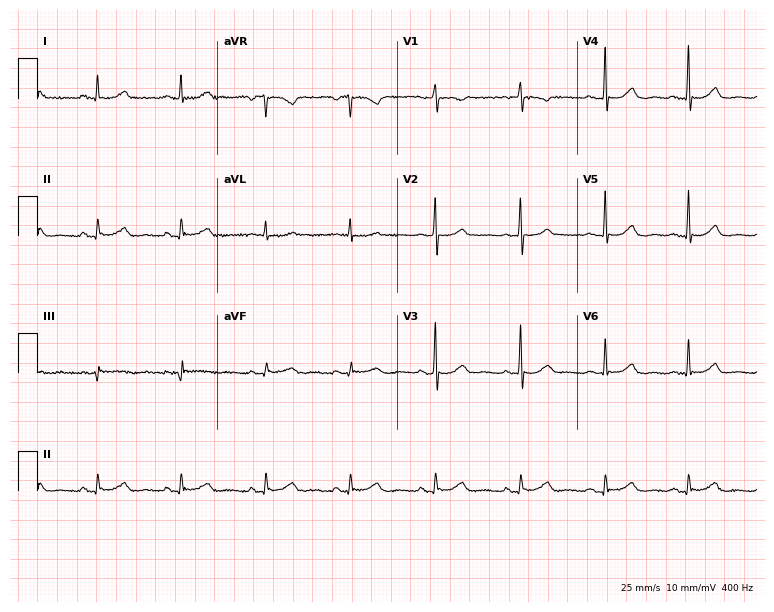
Electrocardiogram (7.3-second recording at 400 Hz), a 66-year-old female patient. Overall reading on record: normal ECG.